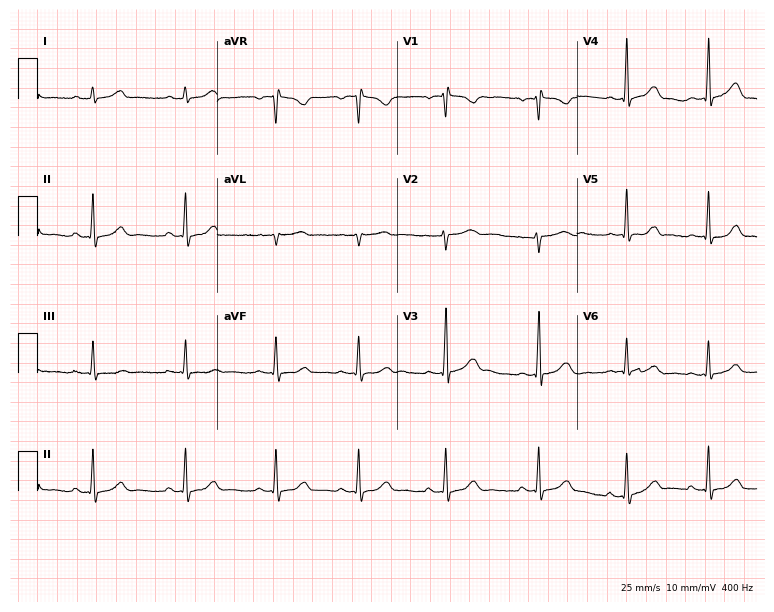
Resting 12-lead electrocardiogram. Patient: a female, 26 years old. Read as a normal ECG.